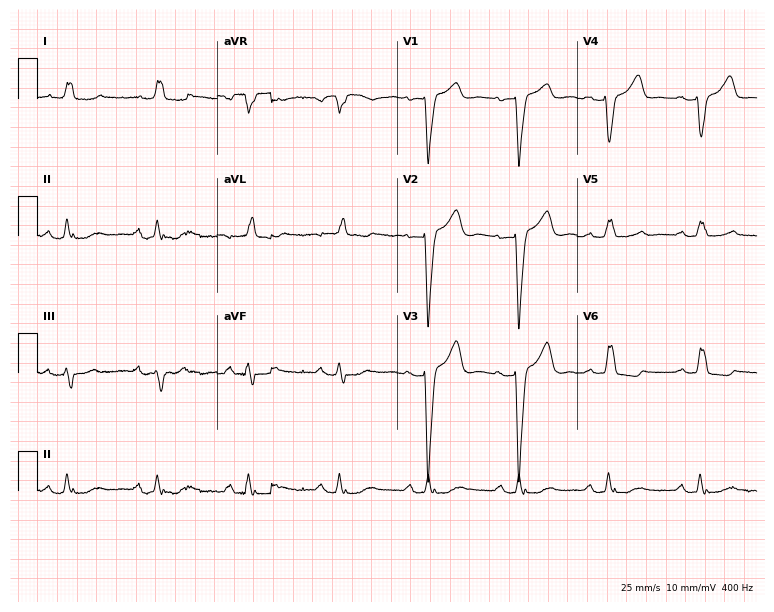
Electrocardiogram (7.3-second recording at 400 Hz), a female, 83 years old. Of the six screened findings (first-degree AV block, right bundle branch block, left bundle branch block, sinus bradycardia, atrial fibrillation, sinus tachycardia), none is recorded.